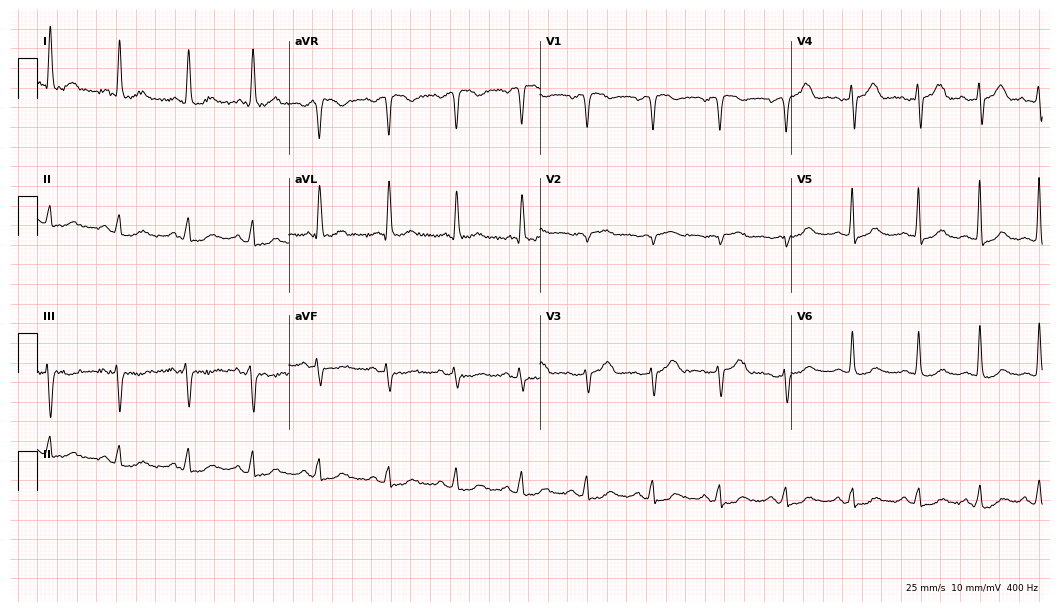
Resting 12-lead electrocardiogram (10.2-second recording at 400 Hz). Patient: a 64-year-old woman. None of these six findings is recorded: first-degree AV block, right bundle branch block (RBBB), left bundle branch block (LBBB), sinus bradycardia, atrial fibrillation (AF), sinus tachycardia. Other findings, if any, are not listed.